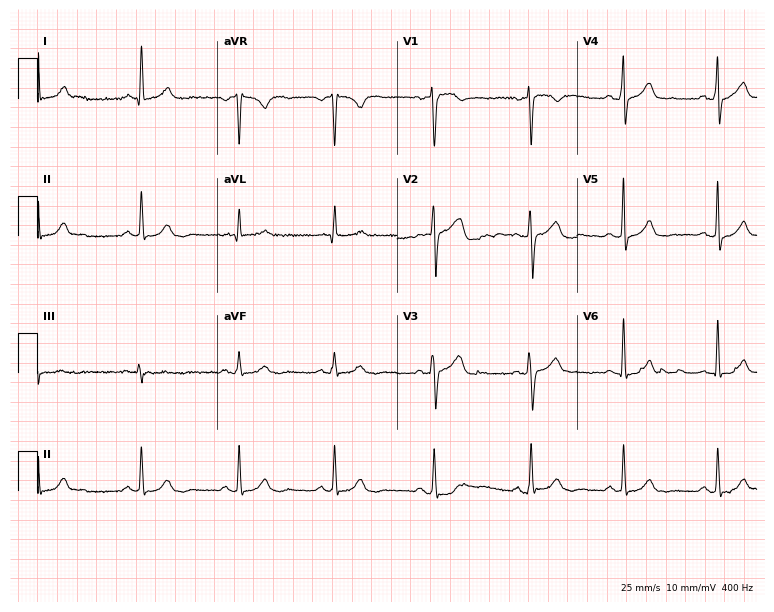
Resting 12-lead electrocardiogram. Patient: a male, 50 years old. None of these six findings is recorded: first-degree AV block, right bundle branch block, left bundle branch block, sinus bradycardia, atrial fibrillation, sinus tachycardia. Other findings, if any, are not listed.